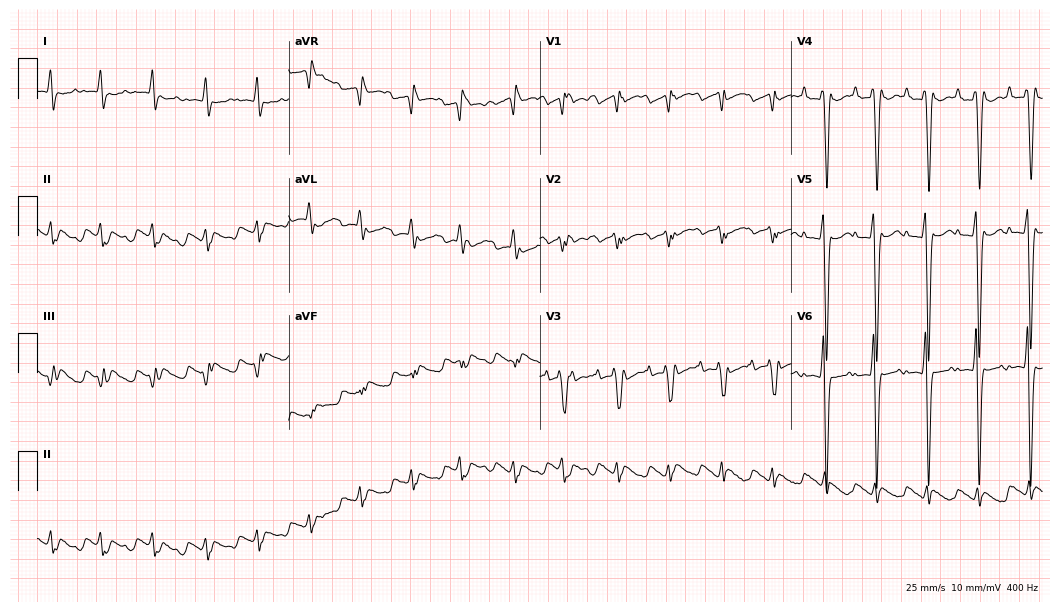
ECG — a male patient, 33 years old. Screened for six findings — first-degree AV block, right bundle branch block (RBBB), left bundle branch block (LBBB), sinus bradycardia, atrial fibrillation (AF), sinus tachycardia — none is recorded. Other findings, if any, are not listed.